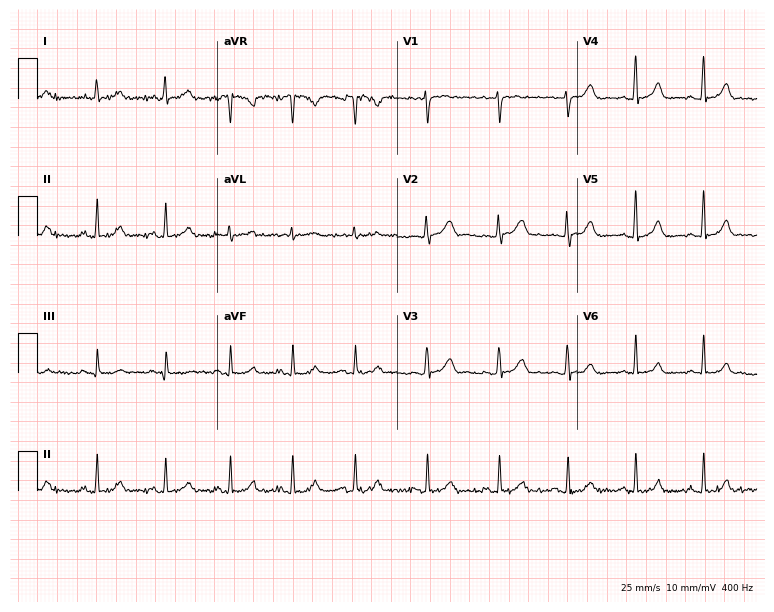
12-lead ECG from a 33-year-old female patient (7.3-second recording at 400 Hz). Recorded interpretation: within normal limits.